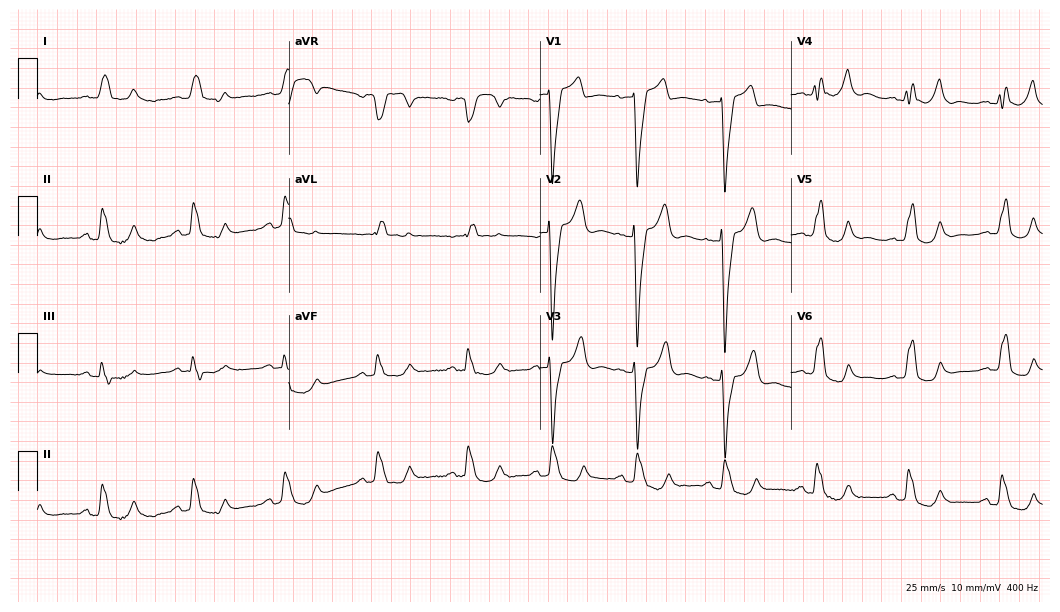
Electrocardiogram (10.2-second recording at 400 Hz), a 62-year-old female. Interpretation includes left bundle branch block.